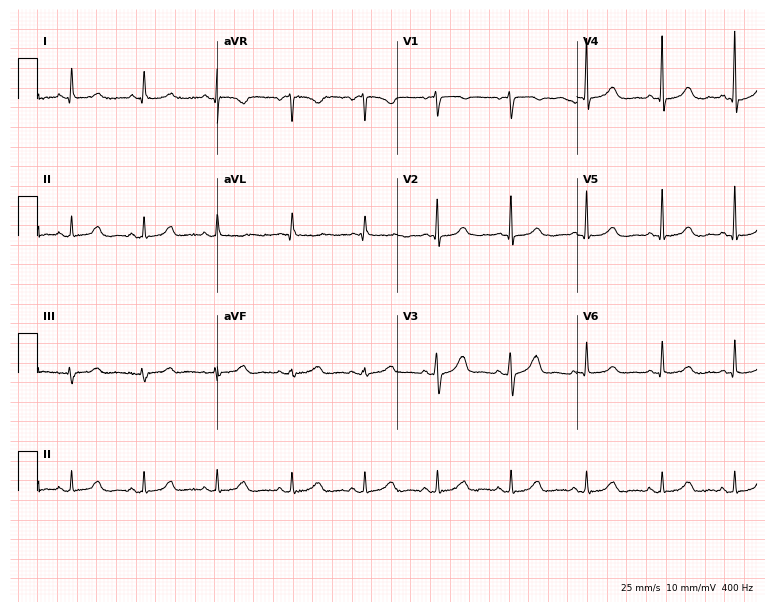
Electrocardiogram, a woman, 72 years old. Overall reading on record: normal ECG.